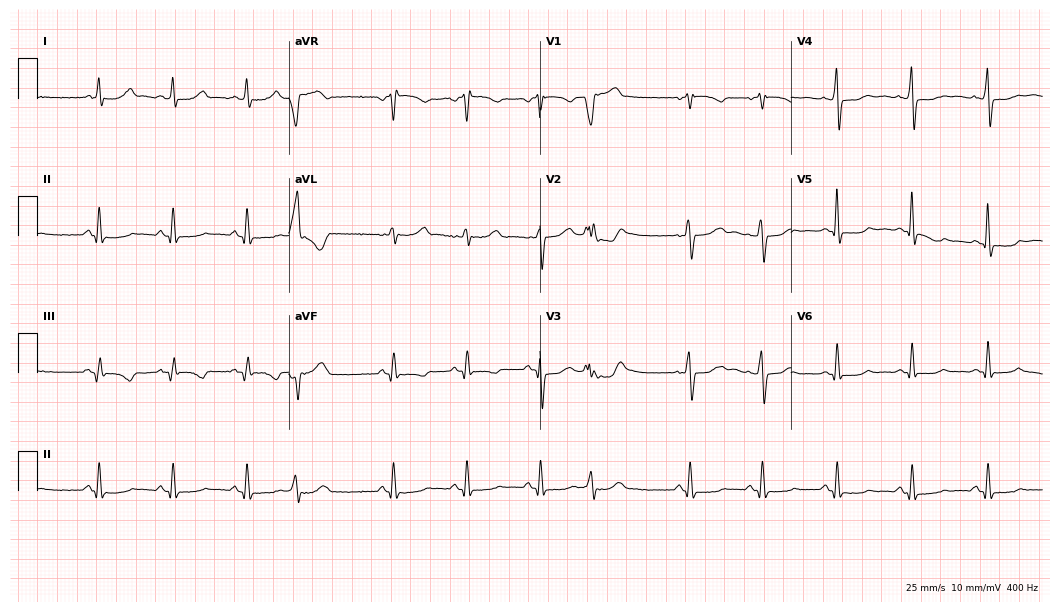
ECG — a woman, 62 years old. Screened for six findings — first-degree AV block, right bundle branch block, left bundle branch block, sinus bradycardia, atrial fibrillation, sinus tachycardia — none is recorded.